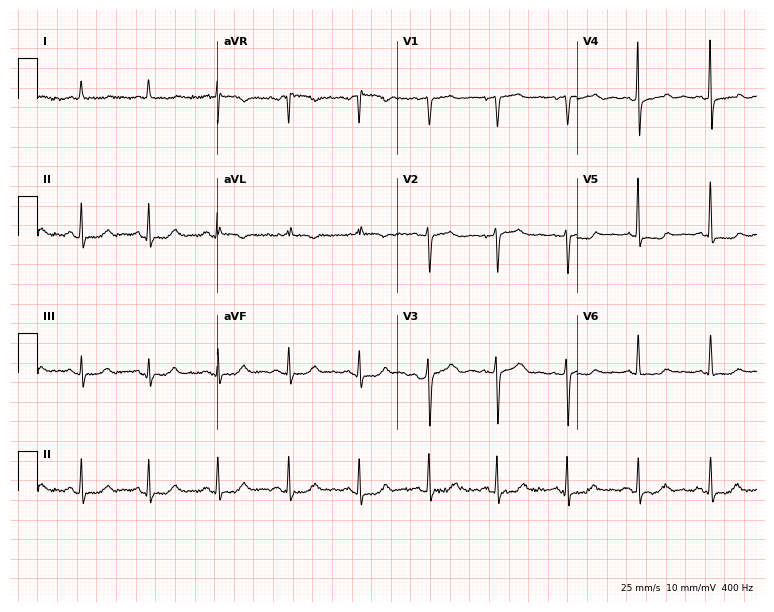
ECG (7.3-second recording at 400 Hz) — an 81-year-old female patient. Screened for six findings — first-degree AV block, right bundle branch block (RBBB), left bundle branch block (LBBB), sinus bradycardia, atrial fibrillation (AF), sinus tachycardia — none is recorded. Only these six findings were labelled.